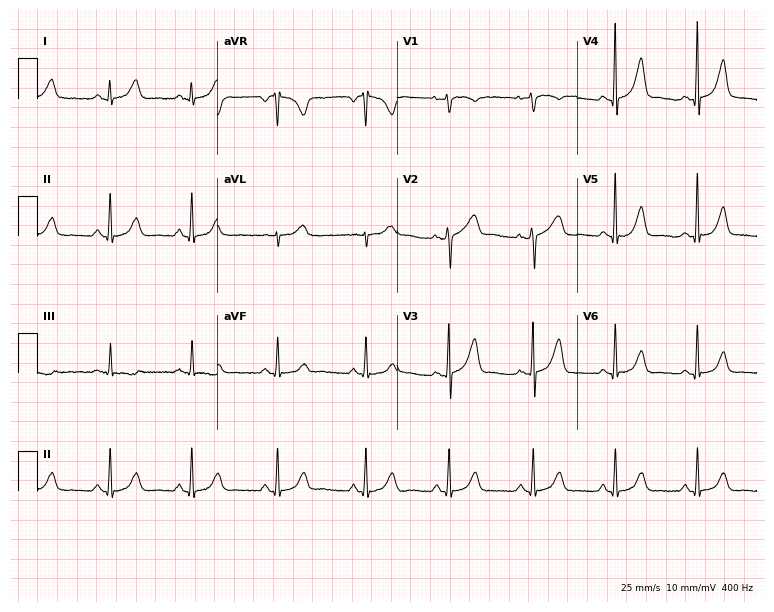
12-lead ECG from a female, 47 years old. Screened for six findings — first-degree AV block, right bundle branch block, left bundle branch block, sinus bradycardia, atrial fibrillation, sinus tachycardia — none is recorded. Only these six findings were labelled.